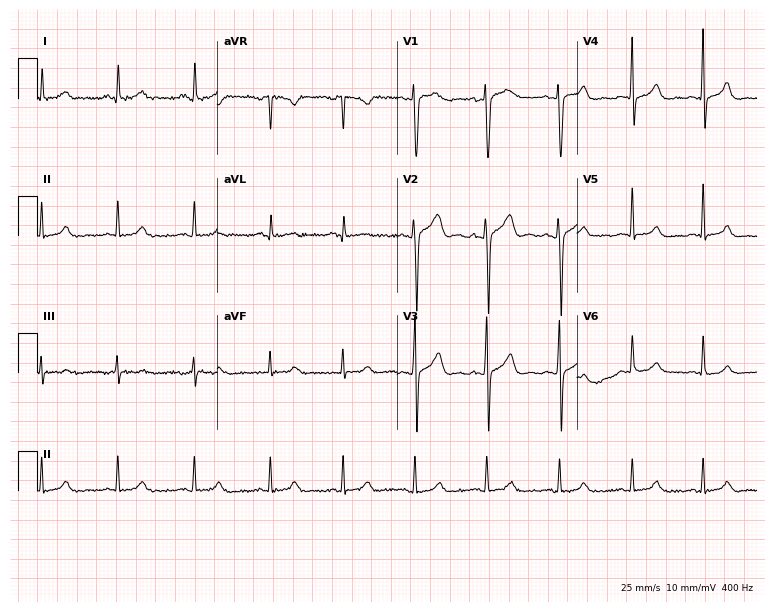
Resting 12-lead electrocardiogram. Patient: a 30-year-old man. Read as a normal ECG.